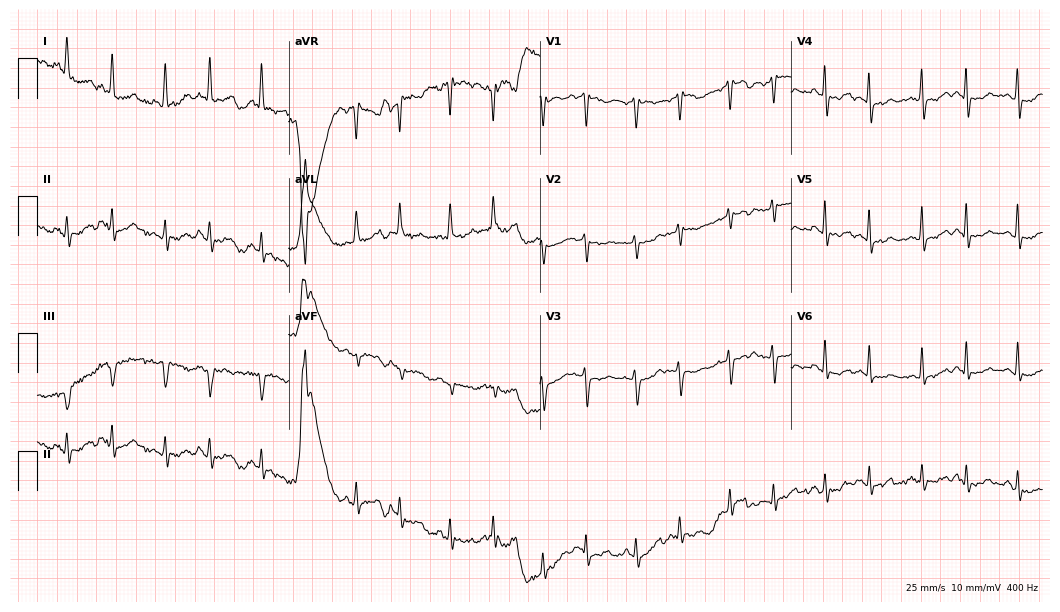
12-lead ECG from a female, 40 years old (10.2-second recording at 400 Hz). No first-degree AV block, right bundle branch block, left bundle branch block, sinus bradycardia, atrial fibrillation or sinus tachycardia recorded for this tracing. Findings outside these six are not listed.